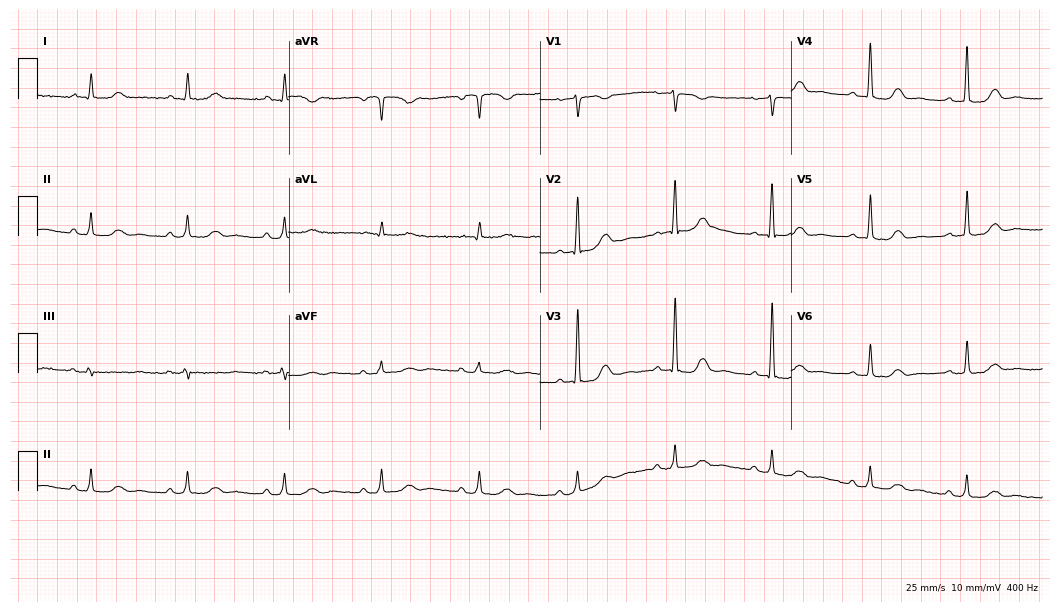
Electrocardiogram, a 69-year-old woman. Overall reading on record: normal ECG.